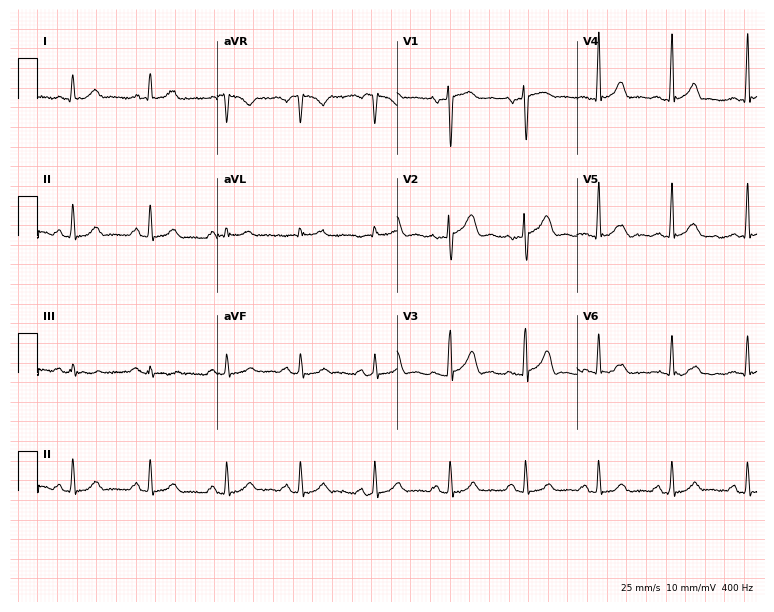
12-lead ECG (7.3-second recording at 400 Hz) from a 41-year-old male. Screened for six findings — first-degree AV block, right bundle branch block, left bundle branch block, sinus bradycardia, atrial fibrillation, sinus tachycardia — none is recorded. Other findings, if any, are not listed.